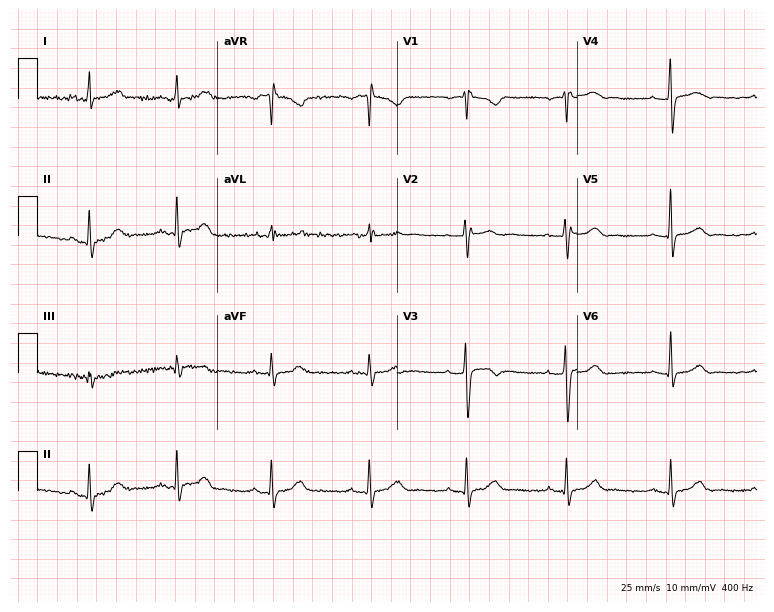
12-lead ECG from a 57-year-old female patient. No first-degree AV block, right bundle branch block, left bundle branch block, sinus bradycardia, atrial fibrillation or sinus tachycardia recorded for this tracing.